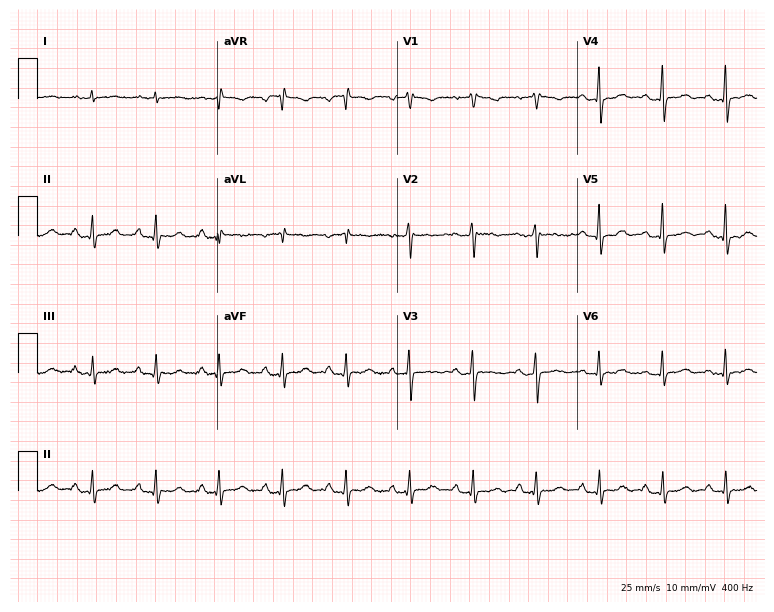
Electrocardiogram, a 44-year-old woman. Of the six screened findings (first-degree AV block, right bundle branch block (RBBB), left bundle branch block (LBBB), sinus bradycardia, atrial fibrillation (AF), sinus tachycardia), none is recorded. Other findings, if any, are not listed.